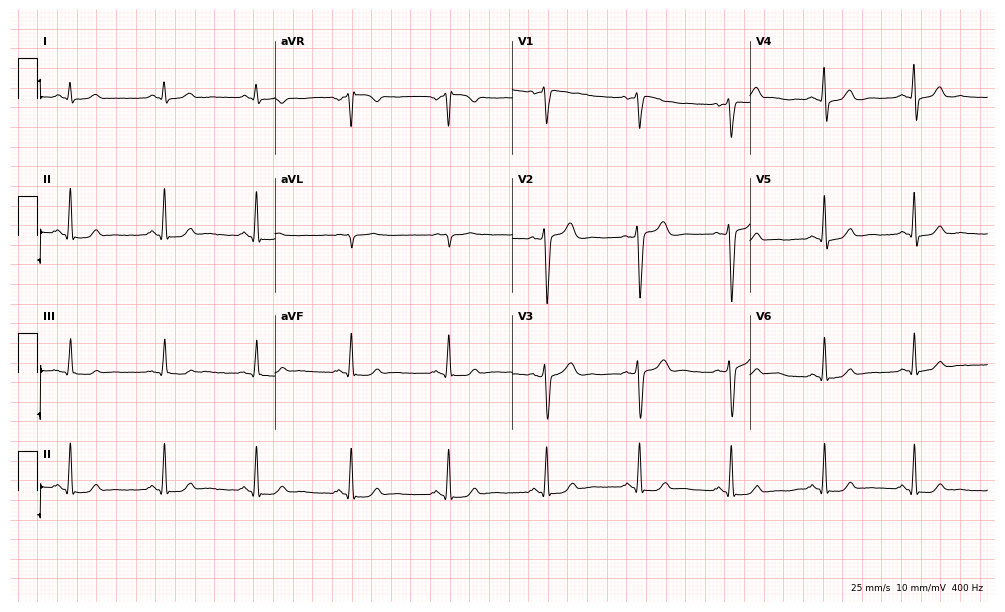
12-lead ECG (9.7-second recording at 400 Hz) from a male, 50 years old. Labelled as a normal ECG.